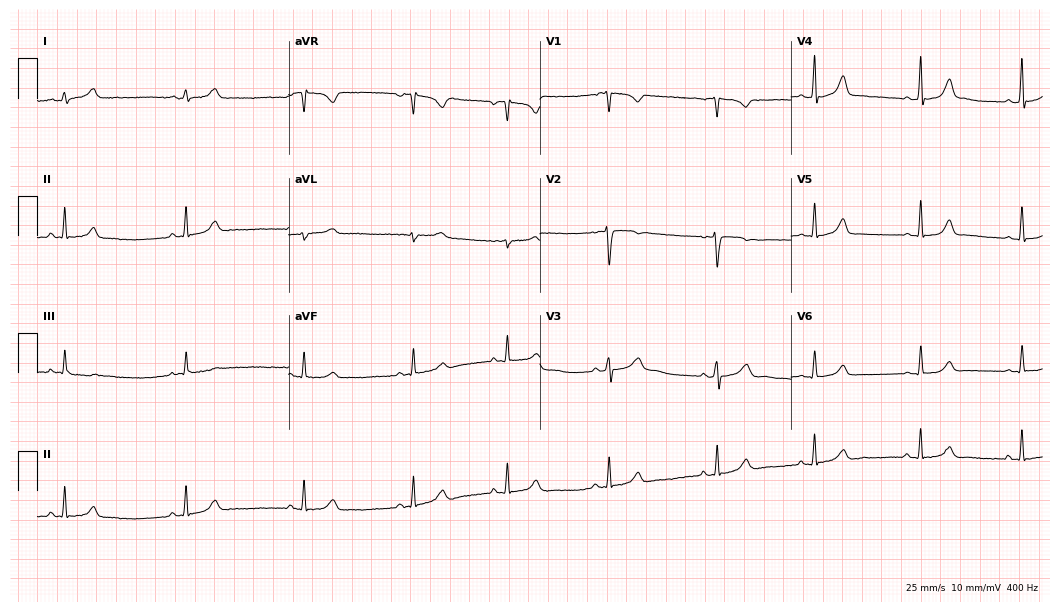
Electrocardiogram, an 18-year-old female patient. Of the six screened findings (first-degree AV block, right bundle branch block, left bundle branch block, sinus bradycardia, atrial fibrillation, sinus tachycardia), none is recorded.